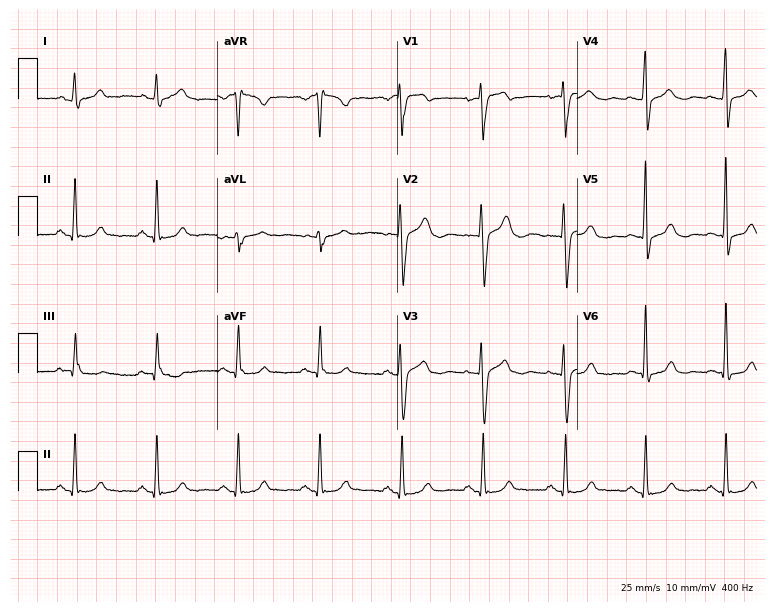
12-lead ECG (7.3-second recording at 400 Hz) from a female, 45 years old. Screened for six findings — first-degree AV block, right bundle branch block, left bundle branch block, sinus bradycardia, atrial fibrillation, sinus tachycardia — none is recorded. Other findings, if any, are not listed.